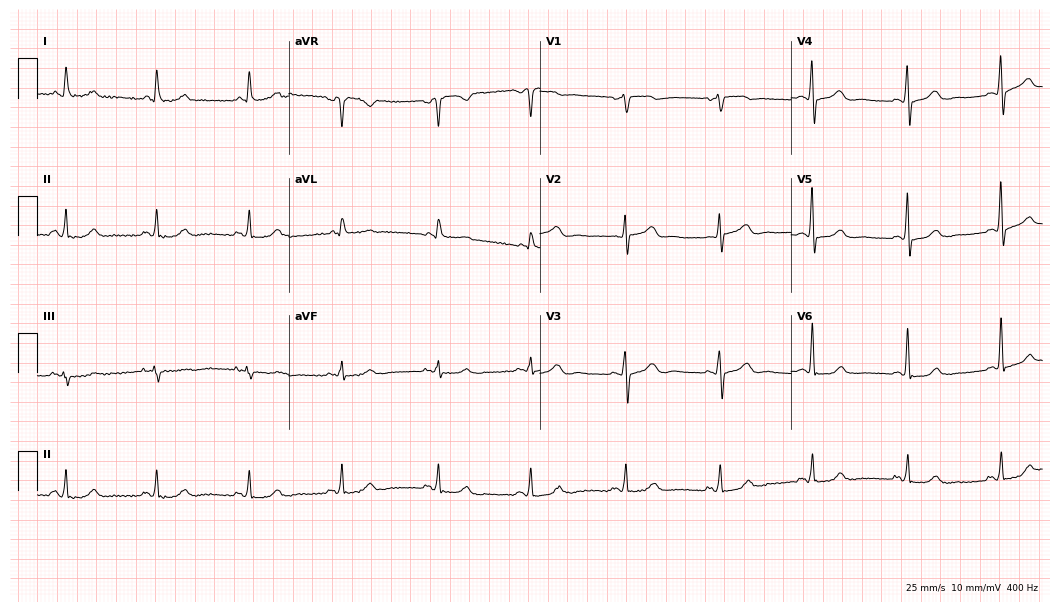
12-lead ECG from a female patient, 64 years old. Labelled as a normal ECG.